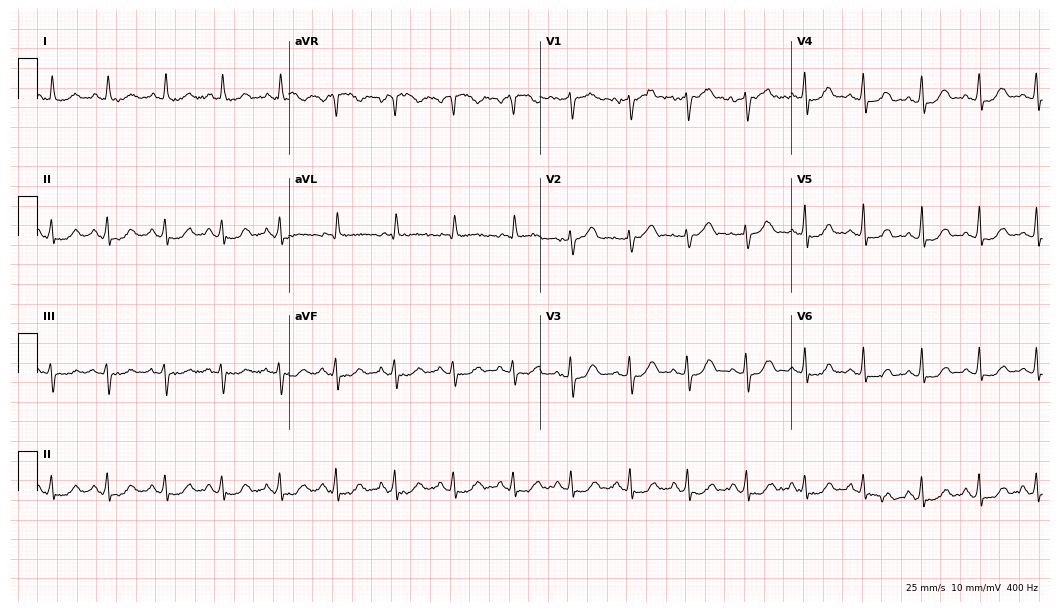
Electrocardiogram, a 56-year-old woman. Overall reading on record: normal ECG.